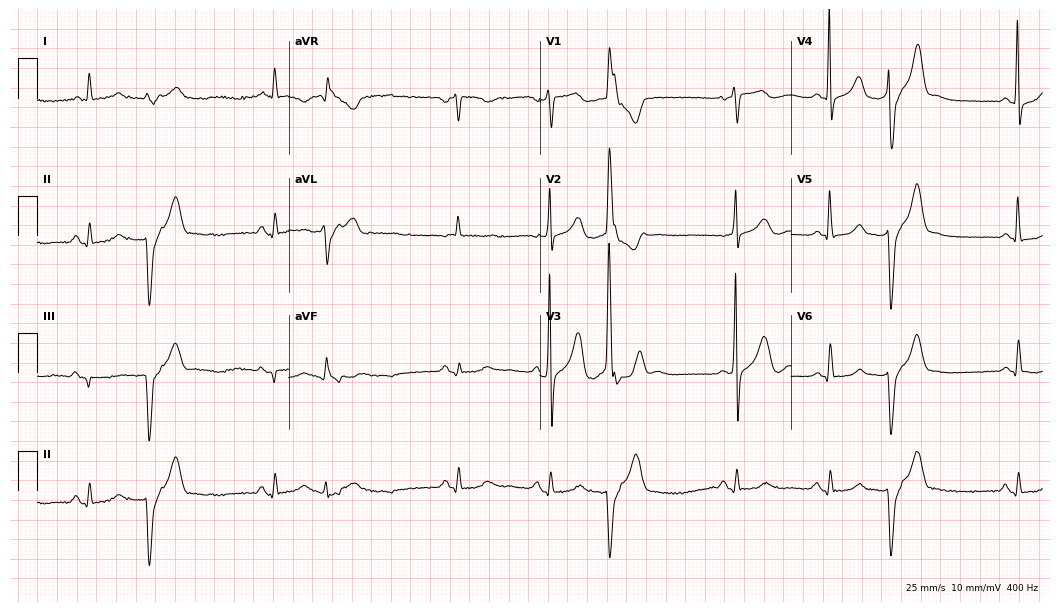
Standard 12-lead ECG recorded from a woman, 76 years old. None of these six findings is recorded: first-degree AV block, right bundle branch block (RBBB), left bundle branch block (LBBB), sinus bradycardia, atrial fibrillation (AF), sinus tachycardia. Only these six findings were labelled.